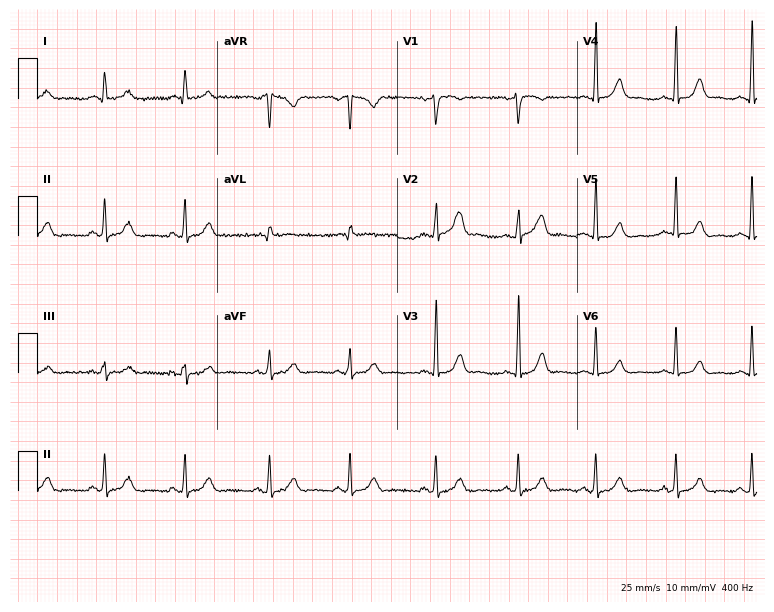
Resting 12-lead electrocardiogram (7.3-second recording at 400 Hz). Patient: a female, 40 years old. Read as a normal ECG.